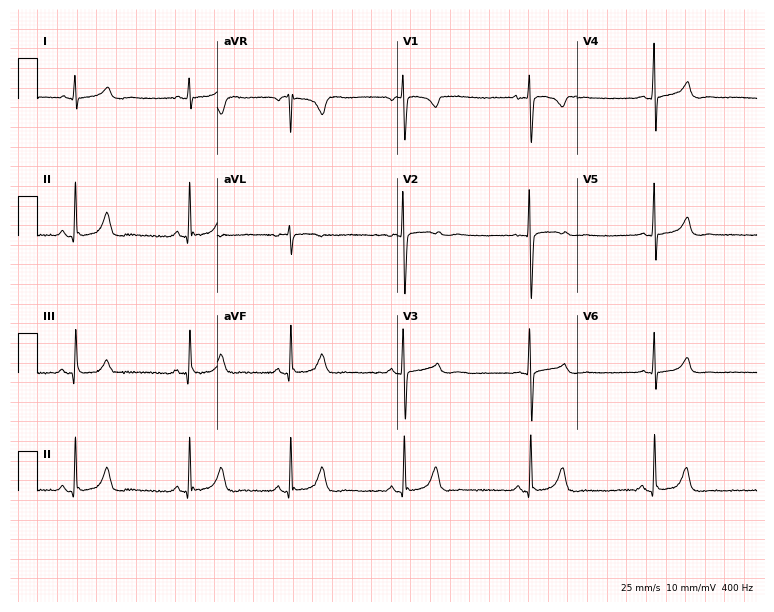
Resting 12-lead electrocardiogram. Patient: a female, 28 years old. None of these six findings is recorded: first-degree AV block, right bundle branch block, left bundle branch block, sinus bradycardia, atrial fibrillation, sinus tachycardia.